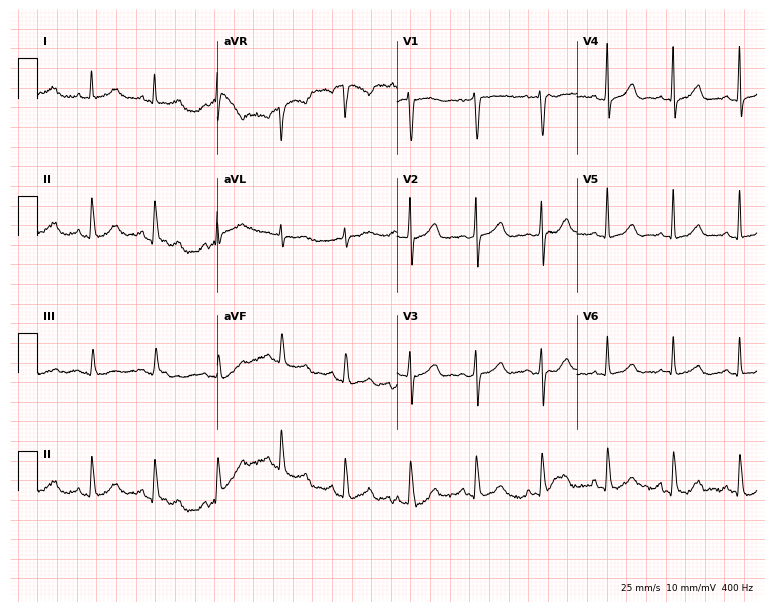
Electrocardiogram (7.3-second recording at 400 Hz), a 77-year-old woman. Overall reading on record: normal ECG.